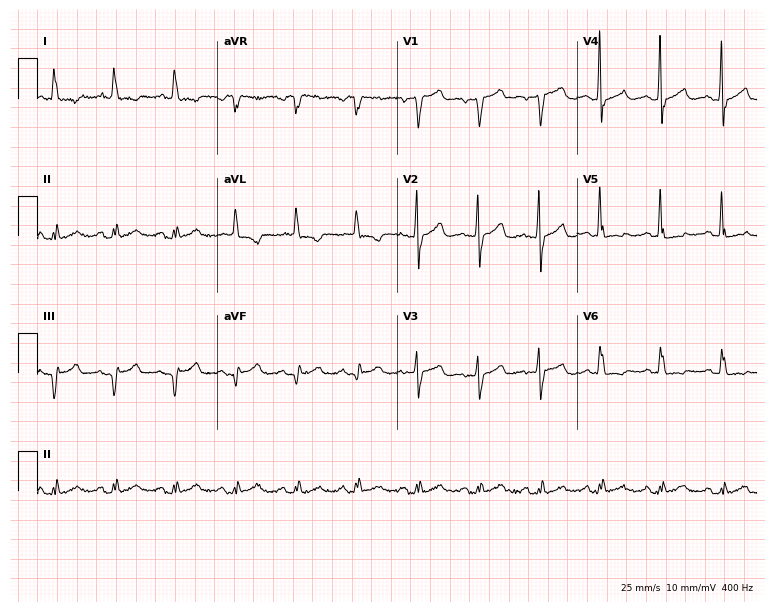
12-lead ECG from a man, 75 years old. No first-degree AV block, right bundle branch block, left bundle branch block, sinus bradycardia, atrial fibrillation or sinus tachycardia recorded for this tracing. Findings outside these six are not listed.